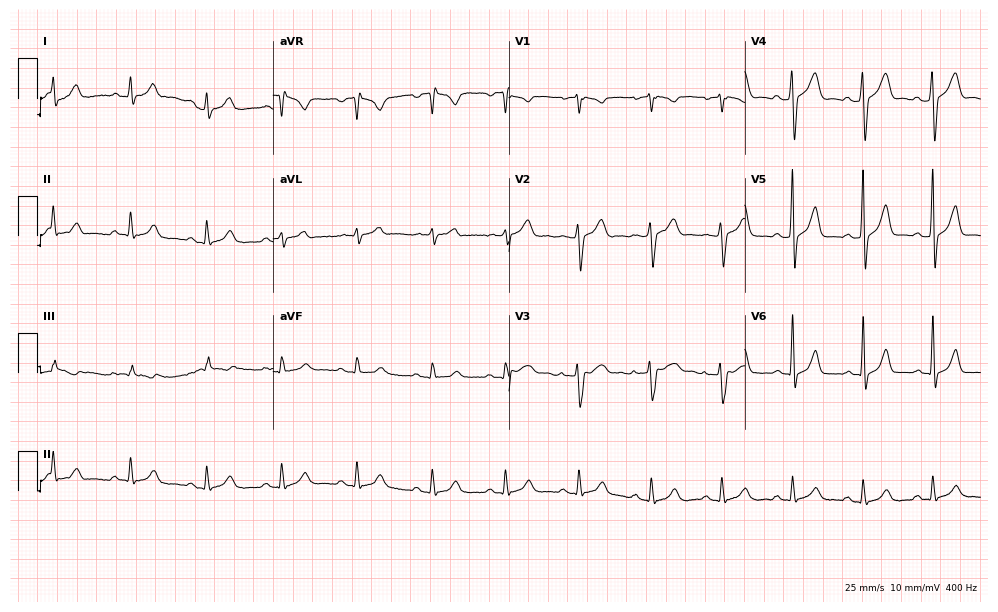
12-lead ECG from a male patient, 38 years old (9.6-second recording at 400 Hz). Recorded interpretation: within normal limits.